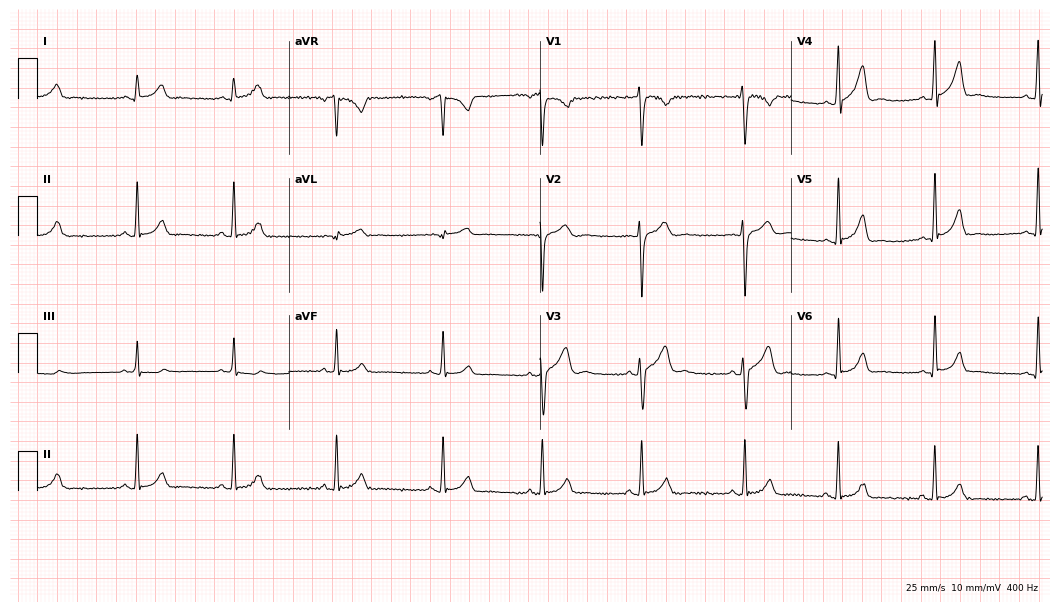
12-lead ECG from a male patient, 21 years old (10.2-second recording at 400 Hz). Recorded interpretation: within normal limits.